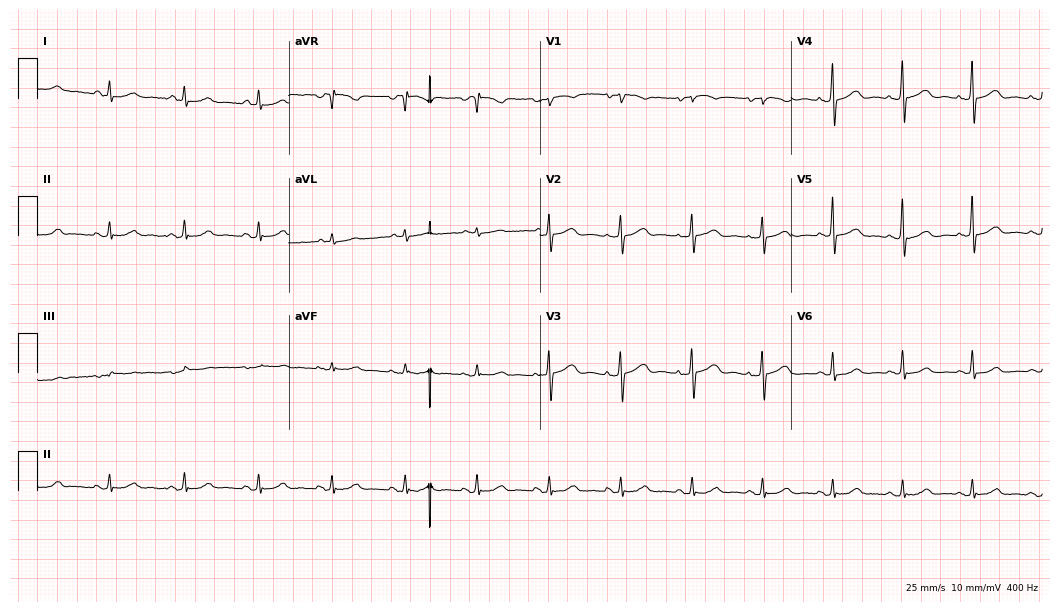
Electrocardiogram (10.2-second recording at 400 Hz), a 67-year-old woman. Overall reading on record: normal ECG.